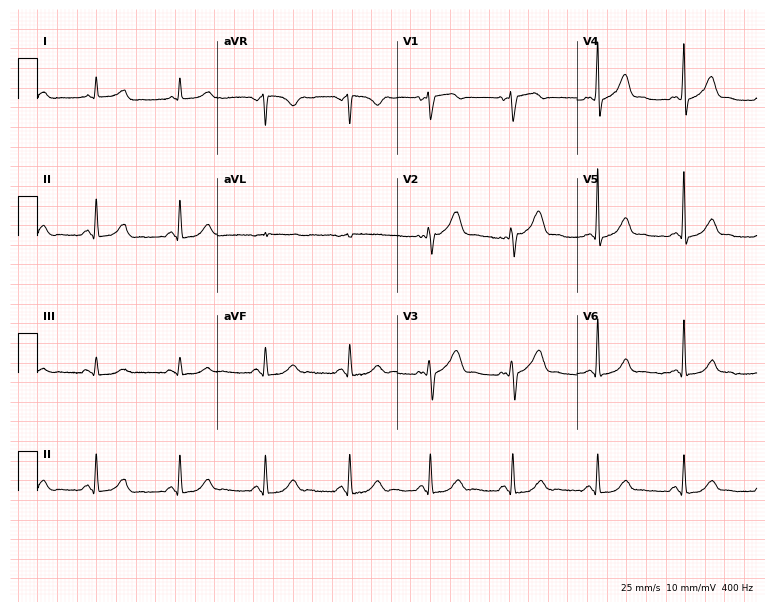
ECG (7.3-second recording at 400 Hz) — a female, 60 years old. Labelled as a normal ECG.